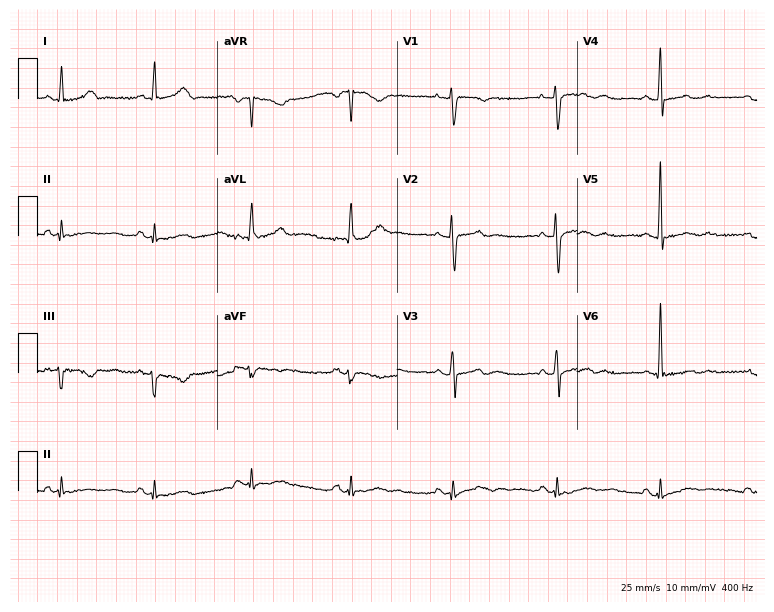
Resting 12-lead electrocardiogram. Patient: a female, 53 years old. Read as a normal ECG.